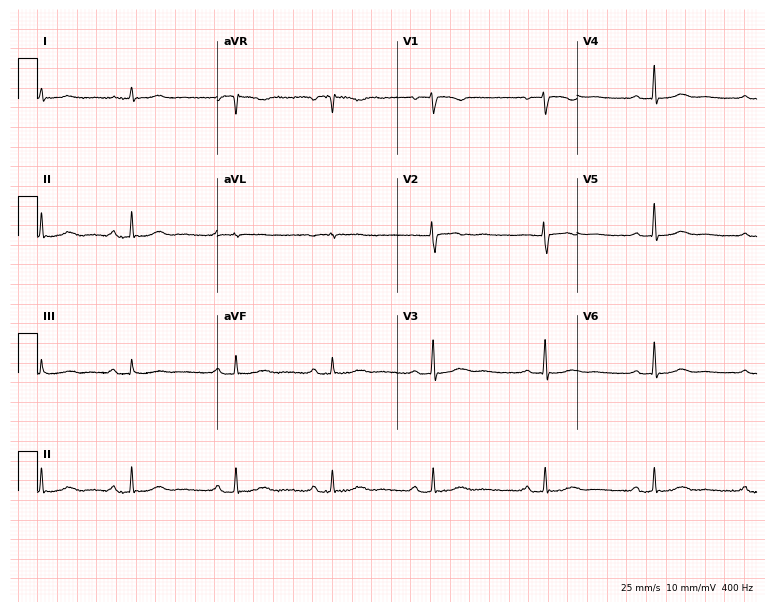
ECG — a 34-year-old female. Screened for six findings — first-degree AV block, right bundle branch block, left bundle branch block, sinus bradycardia, atrial fibrillation, sinus tachycardia — none is recorded.